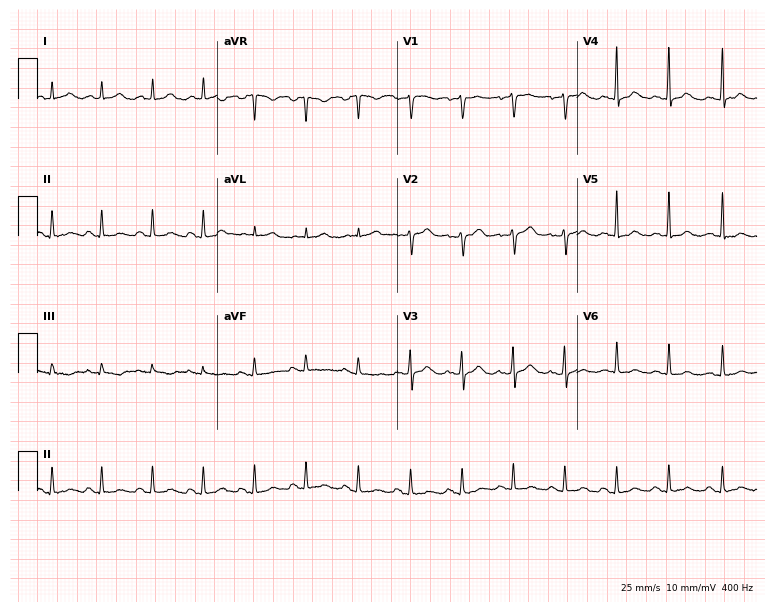
Standard 12-lead ECG recorded from a 46-year-old female patient. None of these six findings is recorded: first-degree AV block, right bundle branch block (RBBB), left bundle branch block (LBBB), sinus bradycardia, atrial fibrillation (AF), sinus tachycardia. Only these six findings were labelled.